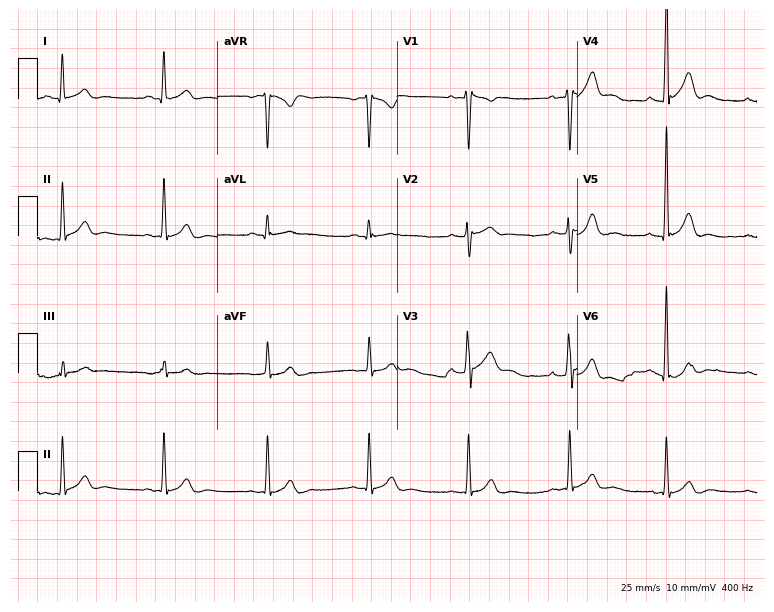
12-lead ECG from a 42-year-old male. Labelled as a normal ECG.